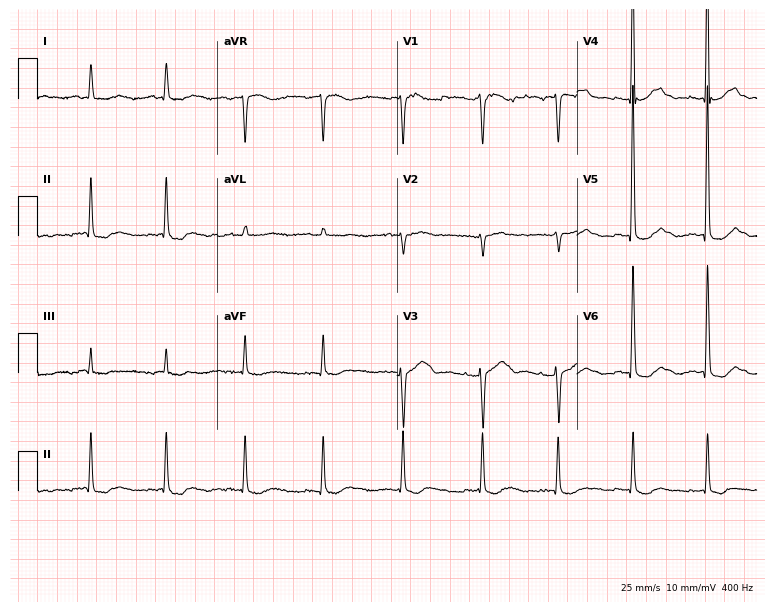
Electrocardiogram, an 82-year-old woman. Of the six screened findings (first-degree AV block, right bundle branch block (RBBB), left bundle branch block (LBBB), sinus bradycardia, atrial fibrillation (AF), sinus tachycardia), none is recorded. Other findings, if any, are not listed.